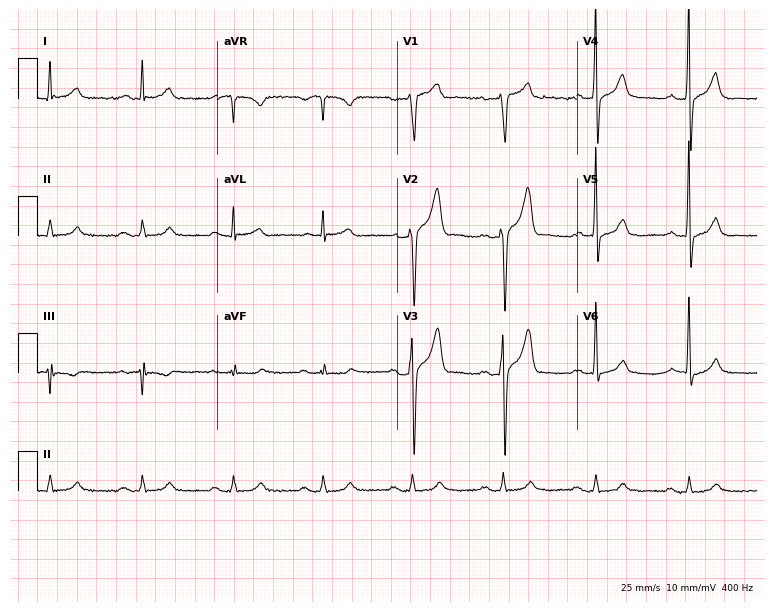
Electrocardiogram (7.3-second recording at 400 Hz), a man, 50 years old. Overall reading on record: normal ECG.